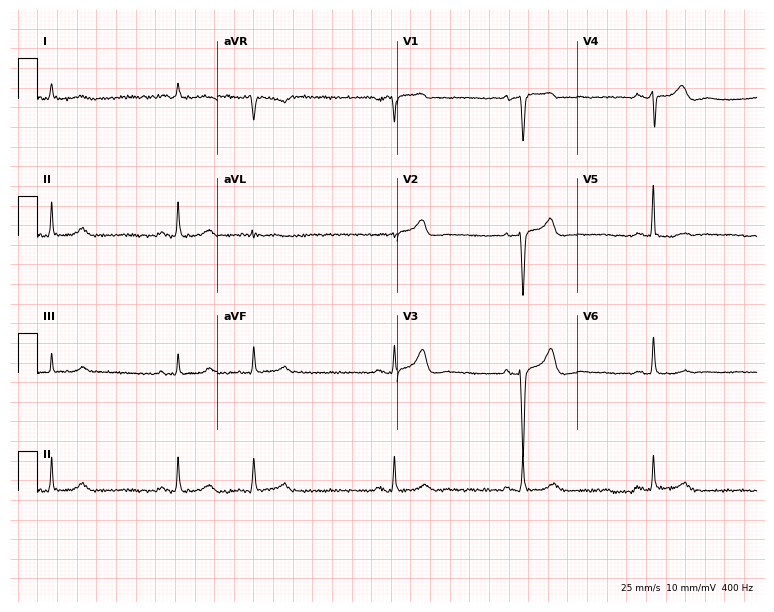
12-lead ECG from an 81-year-old man (7.3-second recording at 400 Hz). Shows sinus bradycardia (a sinus rate of 50 beats per minute or less).